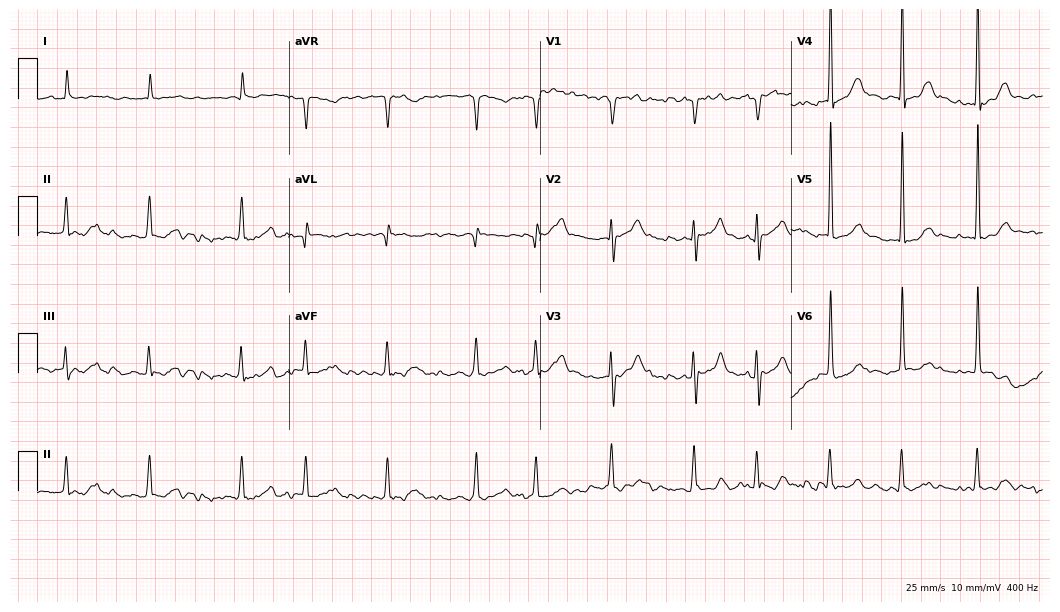
ECG (10.2-second recording at 400 Hz) — a male, 71 years old. Findings include atrial fibrillation (AF).